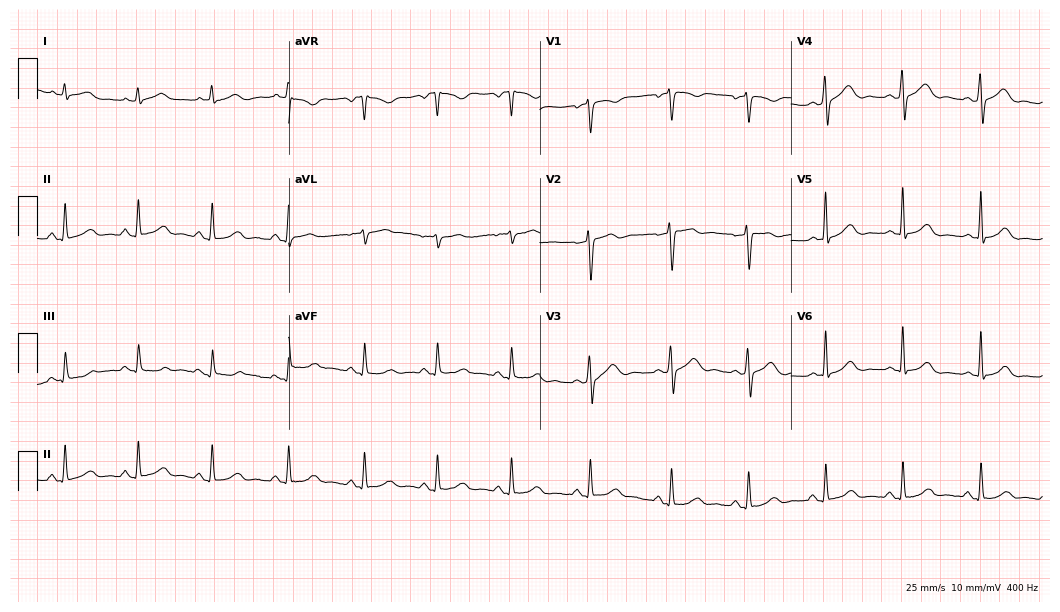
12-lead ECG from a 45-year-old woman. Labelled as a normal ECG.